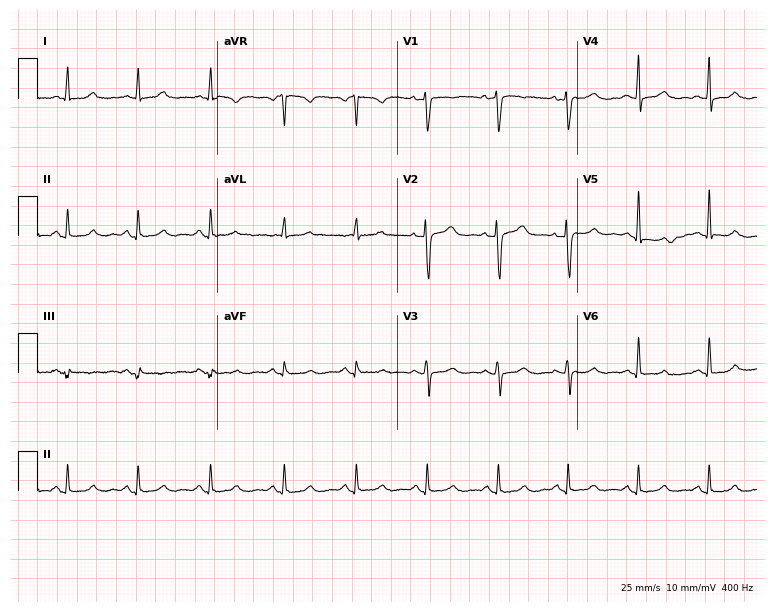
Electrocardiogram, a female, 41 years old. Of the six screened findings (first-degree AV block, right bundle branch block, left bundle branch block, sinus bradycardia, atrial fibrillation, sinus tachycardia), none is recorded.